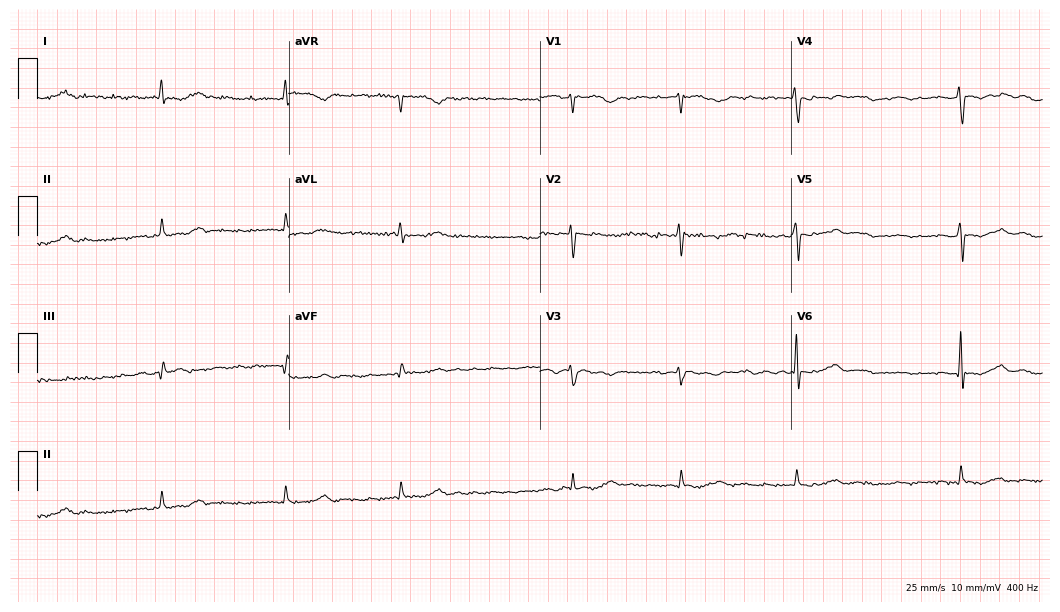
Standard 12-lead ECG recorded from a woman, 58 years old (10.2-second recording at 400 Hz). The tracing shows atrial fibrillation (AF).